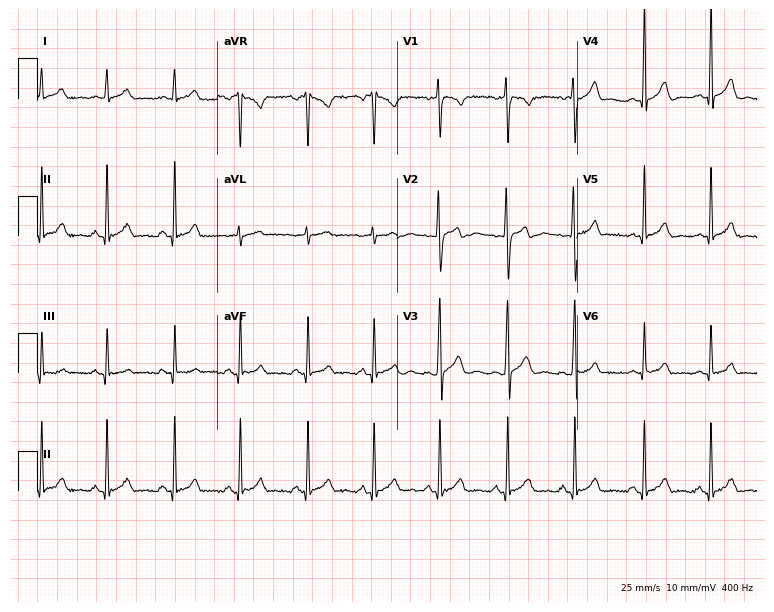
Resting 12-lead electrocardiogram (7.3-second recording at 400 Hz). Patient: a man, 19 years old. Read as a normal ECG.